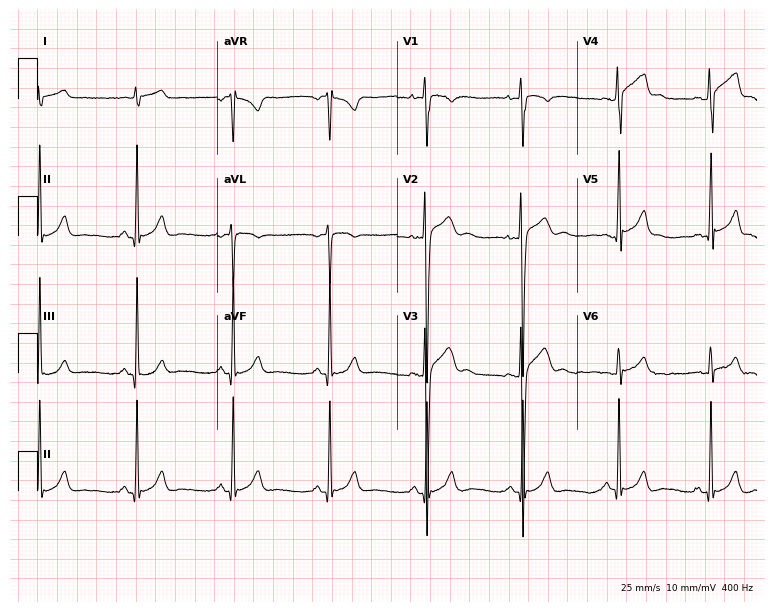
12-lead ECG from a 19-year-old male (7.3-second recording at 400 Hz). Recorded interpretation: within normal limits.